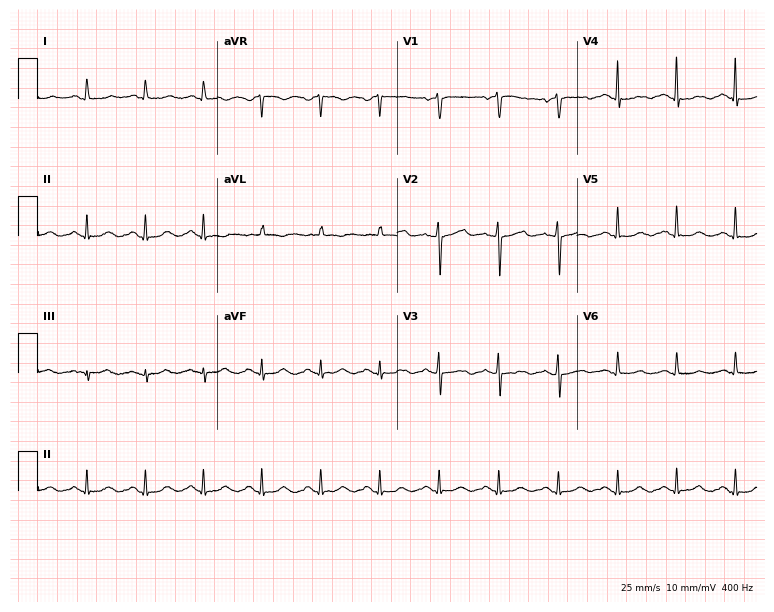
Standard 12-lead ECG recorded from a female, 84 years old (7.3-second recording at 400 Hz). Read as a normal ECG.